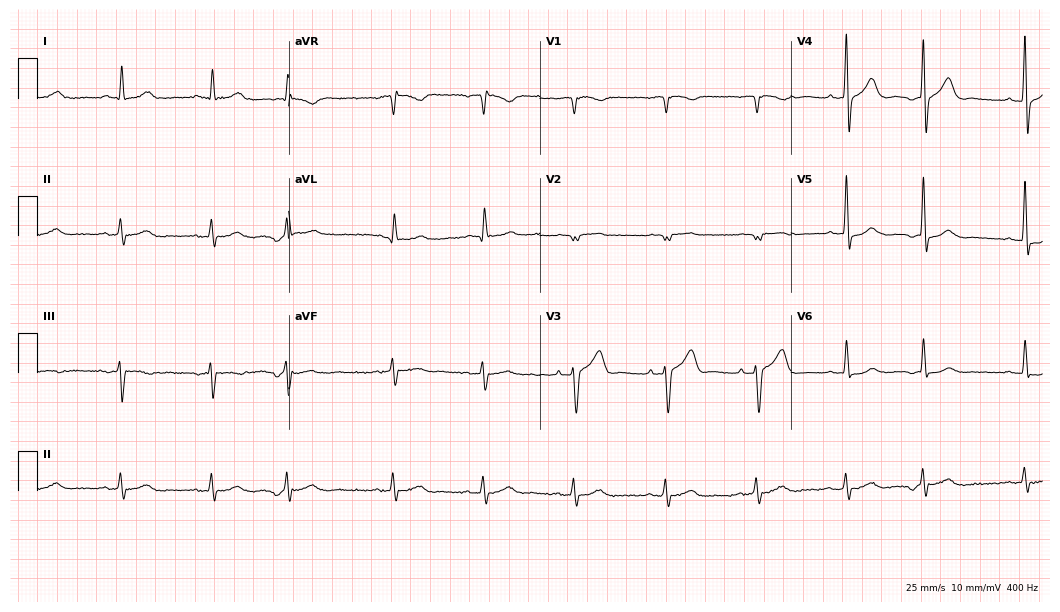
Standard 12-lead ECG recorded from a 79-year-old male patient (10.2-second recording at 400 Hz). Read as a normal ECG.